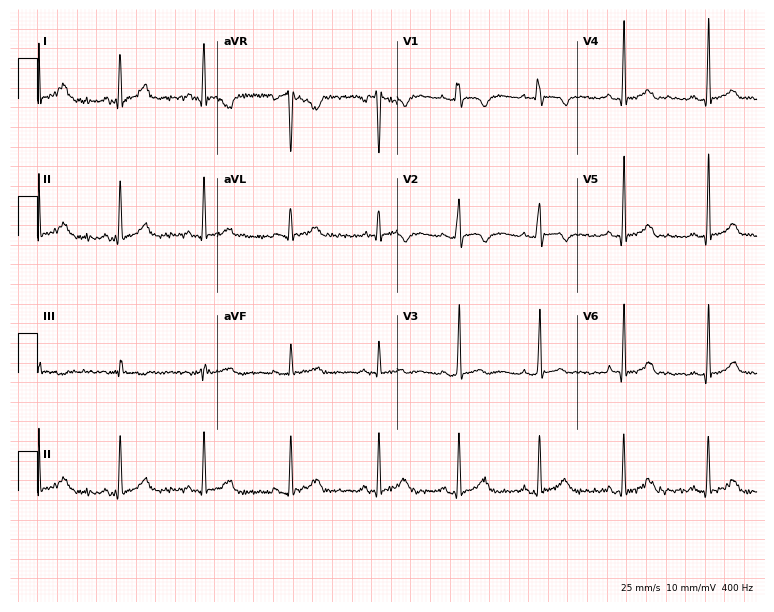
Standard 12-lead ECG recorded from a woman, 26 years old (7.3-second recording at 400 Hz). Read as a normal ECG.